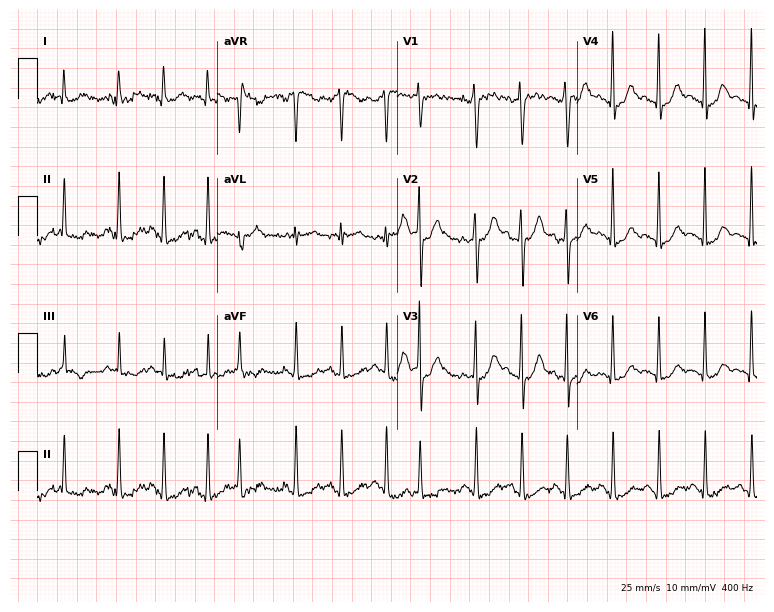
12-lead ECG from a female patient, 31 years old. Findings include sinus tachycardia (a sinus rate of 100 beats per minute or more).